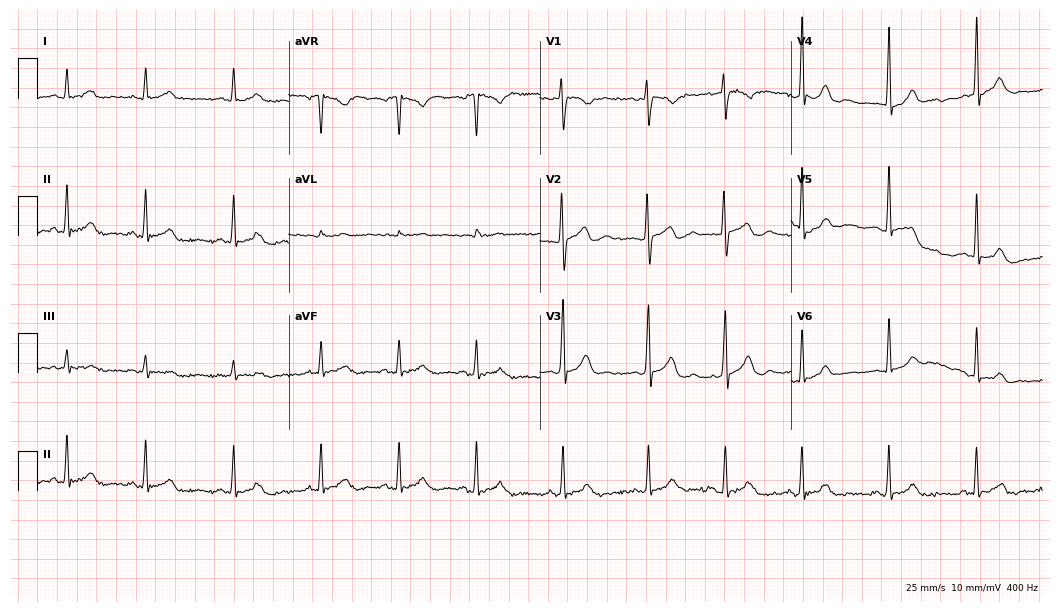
Electrocardiogram (10.2-second recording at 400 Hz), a 25-year-old female. Overall reading on record: normal ECG.